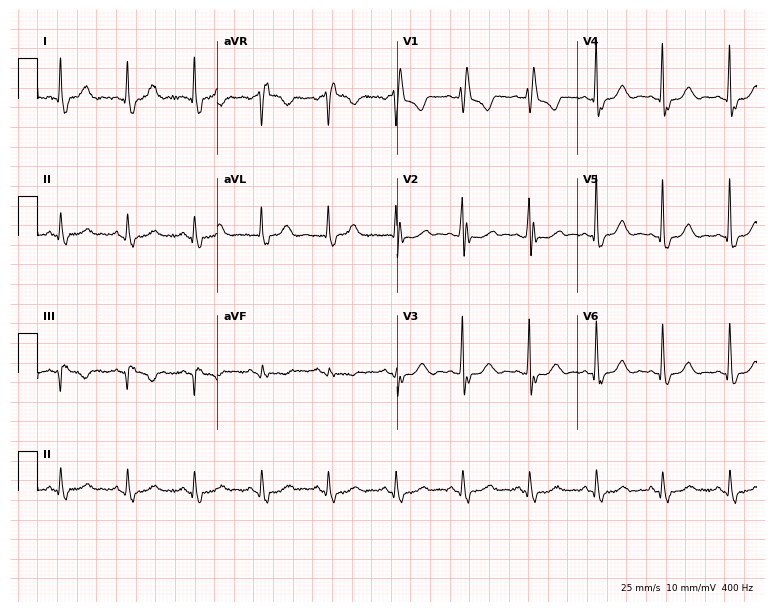
Resting 12-lead electrocardiogram (7.3-second recording at 400 Hz). Patient: a female, 62 years old. The tracing shows right bundle branch block.